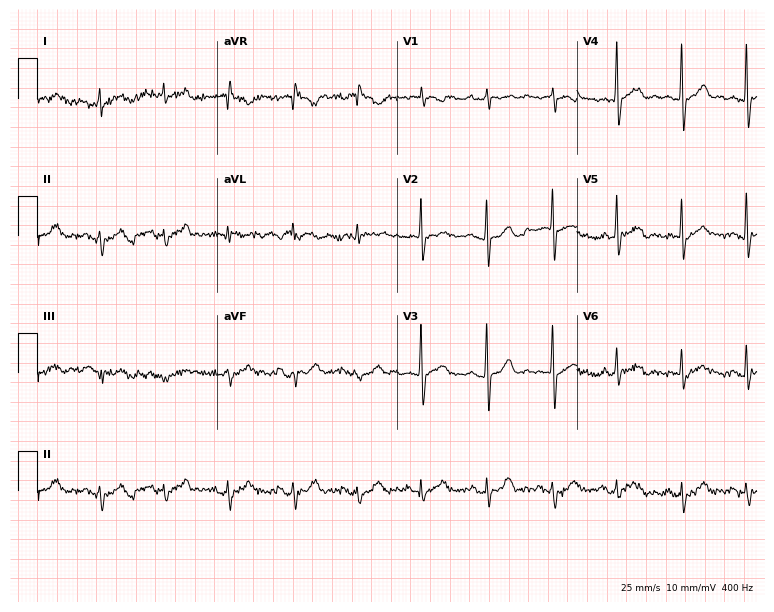
Electrocardiogram, a 57-year-old male patient. Of the six screened findings (first-degree AV block, right bundle branch block, left bundle branch block, sinus bradycardia, atrial fibrillation, sinus tachycardia), none is recorded. Only these six findings were labelled.